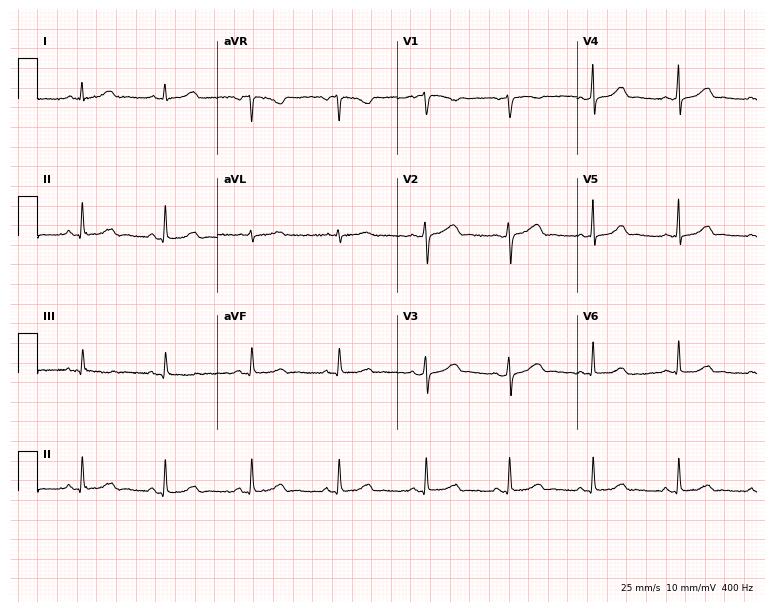
Electrocardiogram, a 46-year-old woman. Overall reading on record: normal ECG.